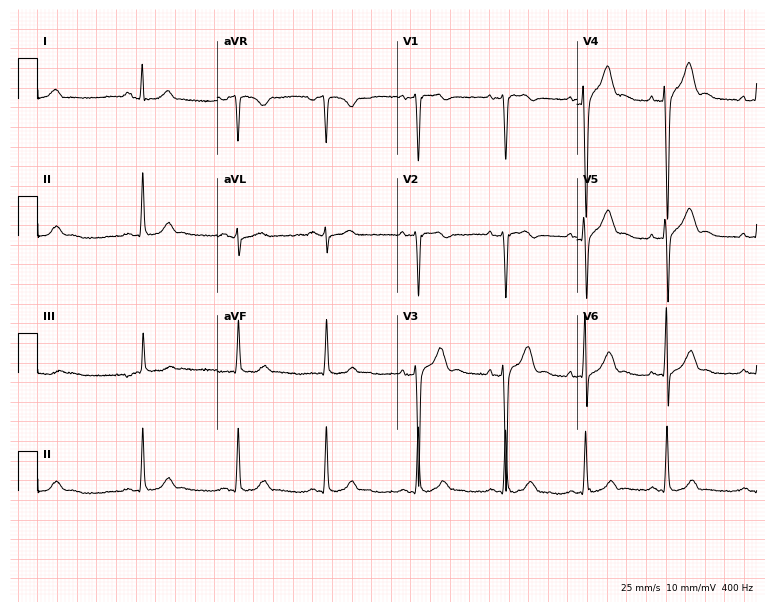
Resting 12-lead electrocardiogram. Patient: a 28-year-old male. Read as a normal ECG.